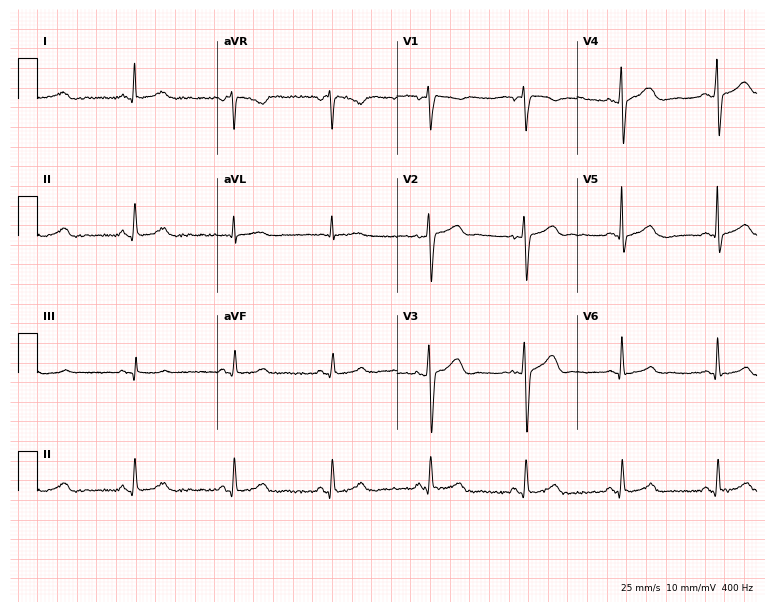
12-lead ECG from a female, 41 years old. Recorded interpretation: within normal limits.